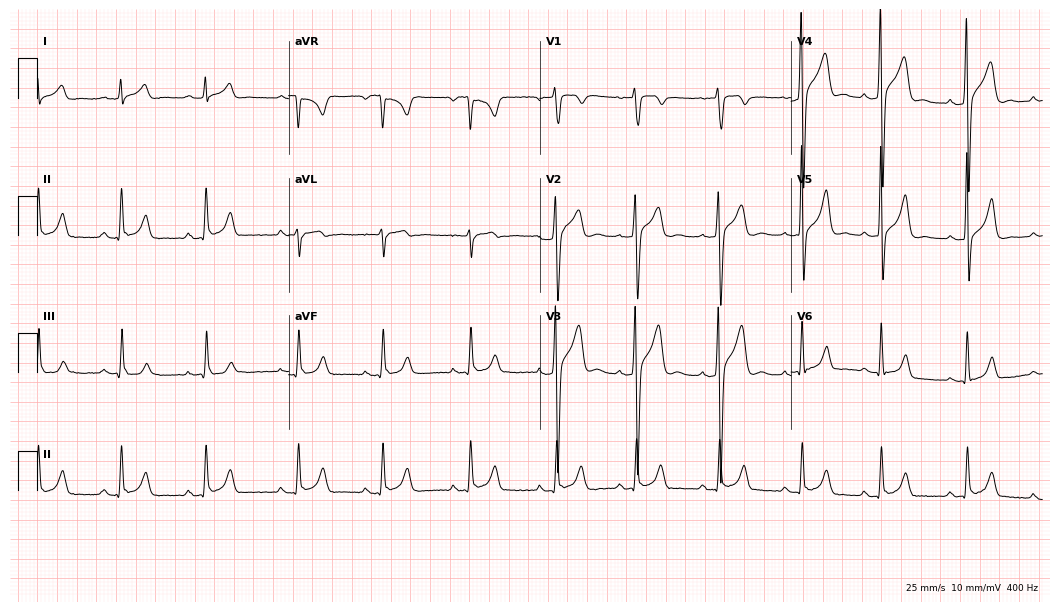
12-lead ECG (10.2-second recording at 400 Hz) from a male, 22 years old. Labelled as a normal ECG.